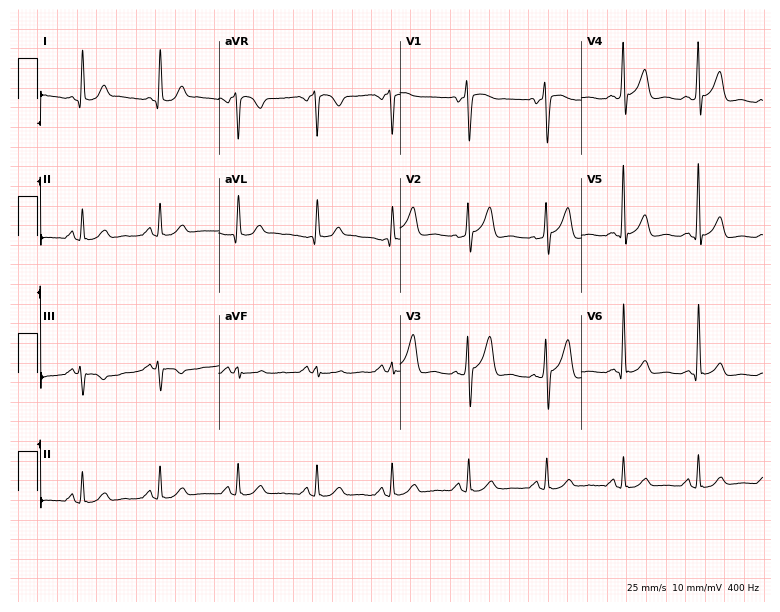
ECG — a male patient, 65 years old. Screened for six findings — first-degree AV block, right bundle branch block (RBBB), left bundle branch block (LBBB), sinus bradycardia, atrial fibrillation (AF), sinus tachycardia — none is recorded.